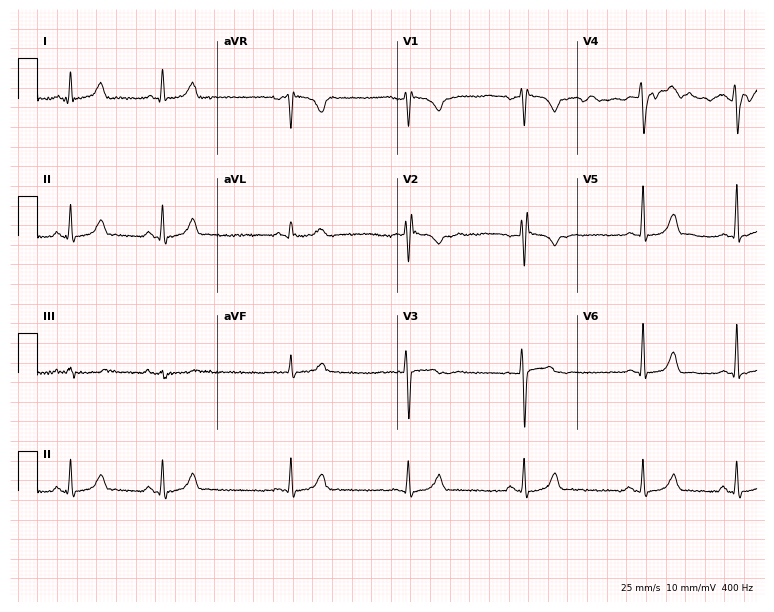
ECG — a 28-year-old woman. Screened for six findings — first-degree AV block, right bundle branch block (RBBB), left bundle branch block (LBBB), sinus bradycardia, atrial fibrillation (AF), sinus tachycardia — none is recorded. Findings outside these six are not listed.